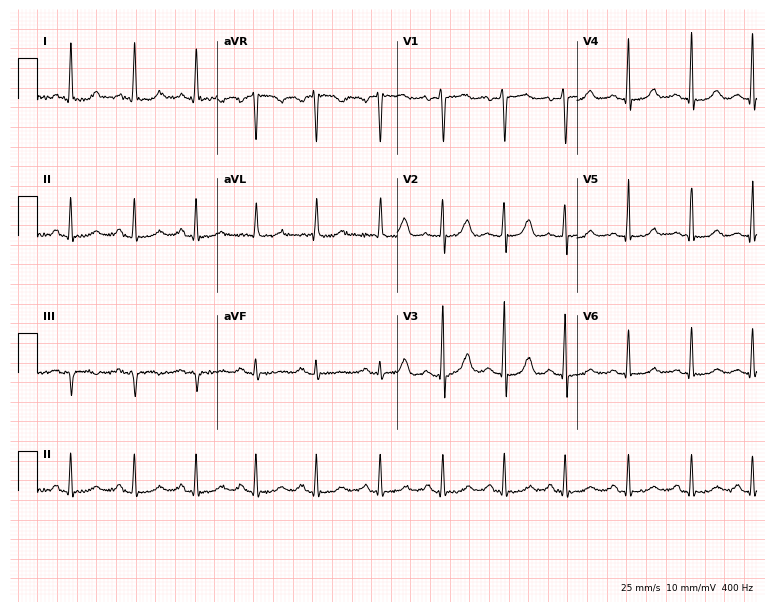
Electrocardiogram (7.3-second recording at 400 Hz), a female, 55 years old. Overall reading on record: normal ECG.